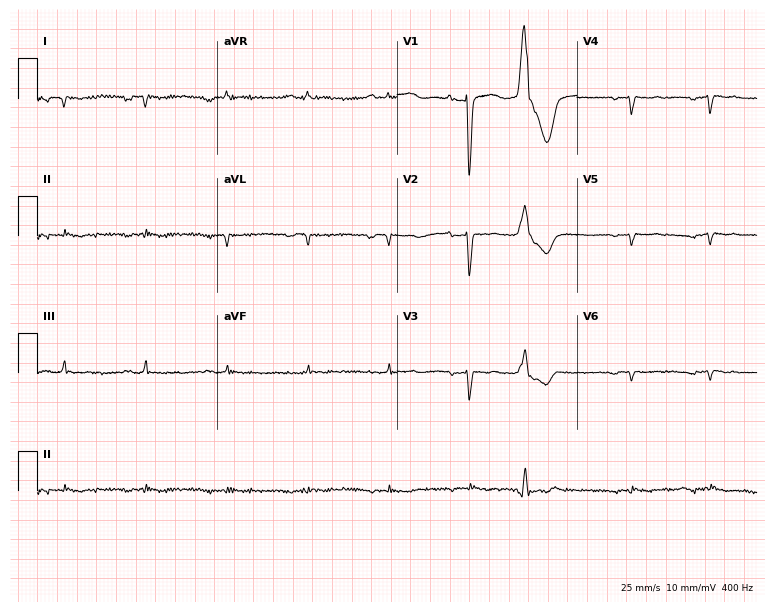
Standard 12-lead ECG recorded from a 64-year-old man (7.3-second recording at 400 Hz). None of these six findings is recorded: first-degree AV block, right bundle branch block, left bundle branch block, sinus bradycardia, atrial fibrillation, sinus tachycardia.